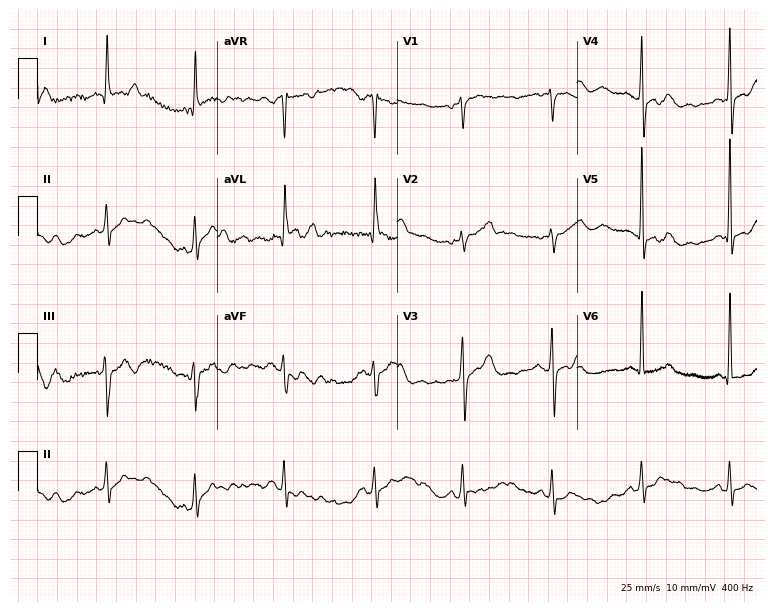
12-lead ECG (7.3-second recording at 400 Hz) from an 83-year-old woman. Screened for six findings — first-degree AV block, right bundle branch block, left bundle branch block, sinus bradycardia, atrial fibrillation, sinus tachycardia — none is recorded.